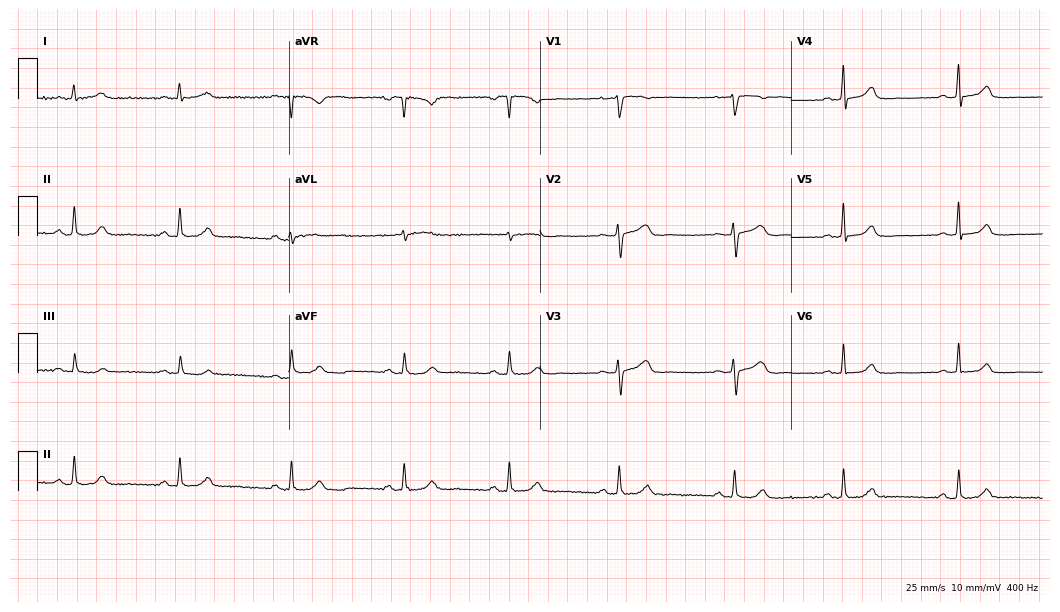
12-lead ECG (10.2-second recording at 400 Hz) from a 40-year-old woman. Labelled as a normal ECG.